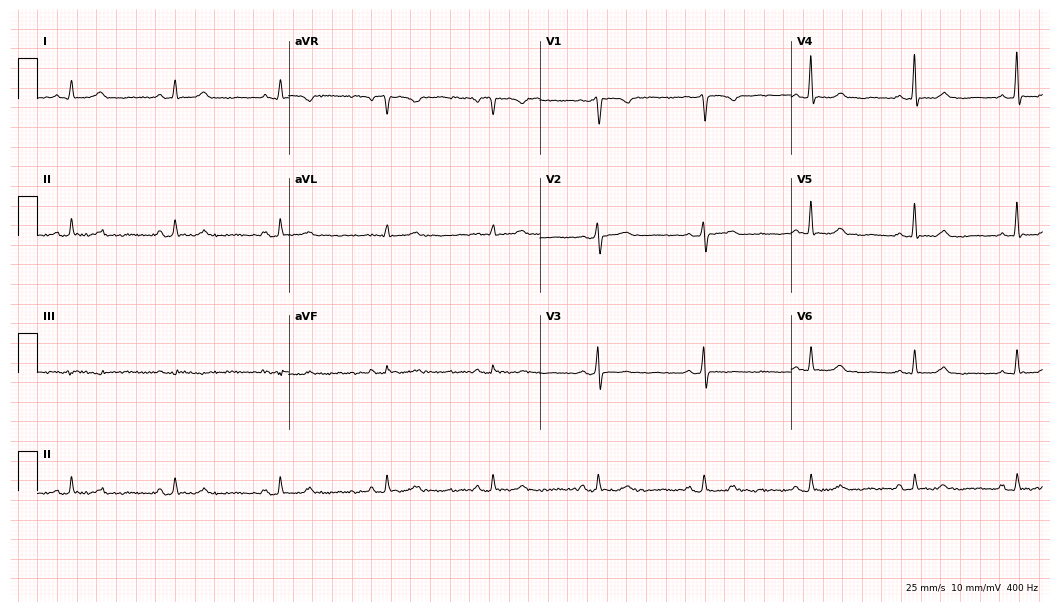
Resting 12-lead electrocardiogram (10.2-second recording at 400 Hz). Patient: a 51-year-old woman. Read as a normal ECG.